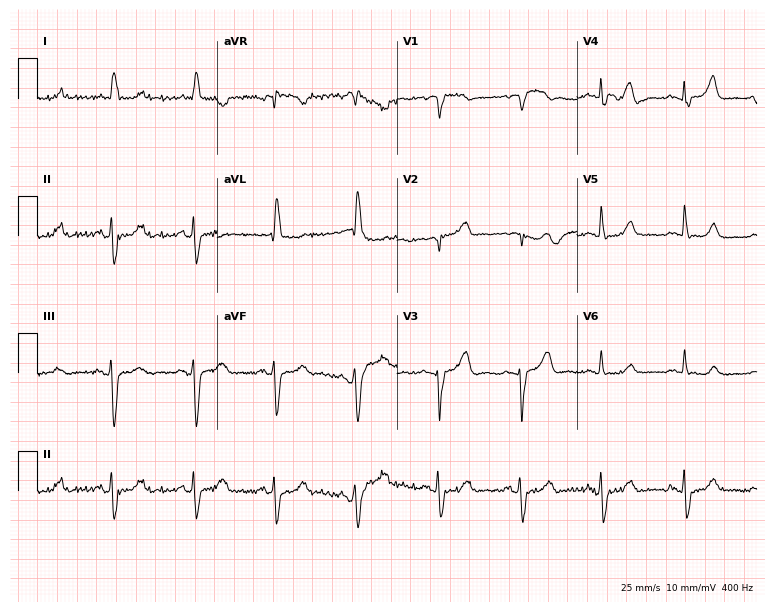
ECG — a woman, 82 years old. Screened for six findings — first-degree AV block, right bundle branch block, left bundle branch block, sinus bradycardia, atrial fibrillation, sinus tachycardia — none is recorded.